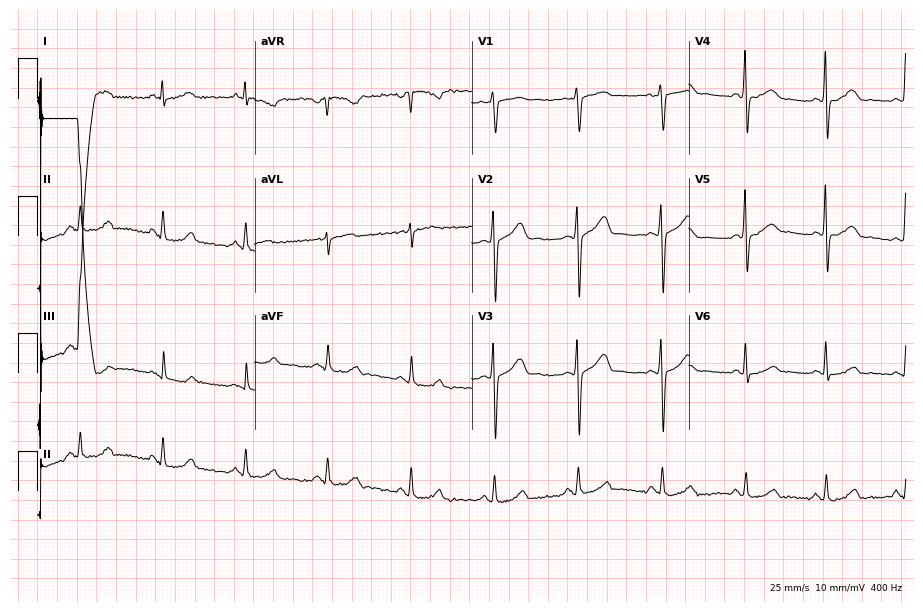
ECG — a 48-year-old male patient. Screened for six findings — first-degree AV block, right bundle branch block (RBBB), left bundle branch block (LBBB), sinus bradycardia, atrial fibrillation (AF), sinus tachycardia — none is recorded.